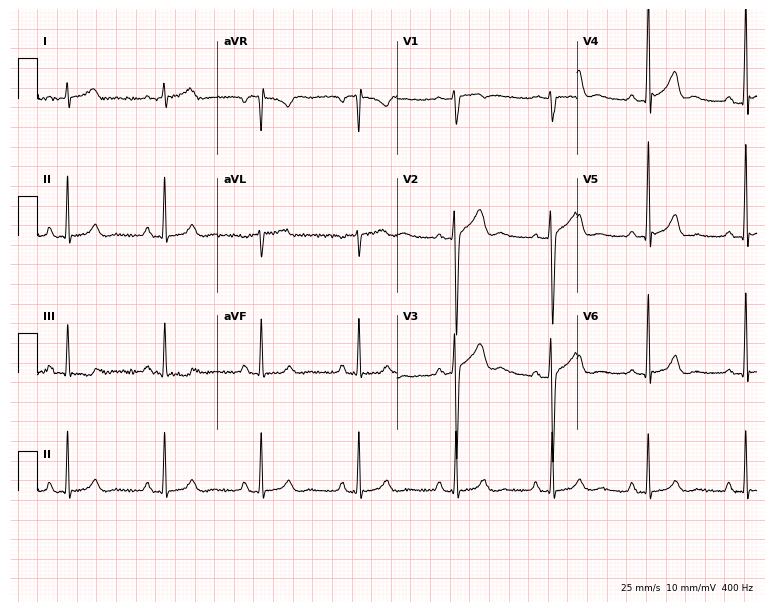
Resting 12-lead electrocardiogram. Patient: a male, 25 years old. Read as a normal ECG.